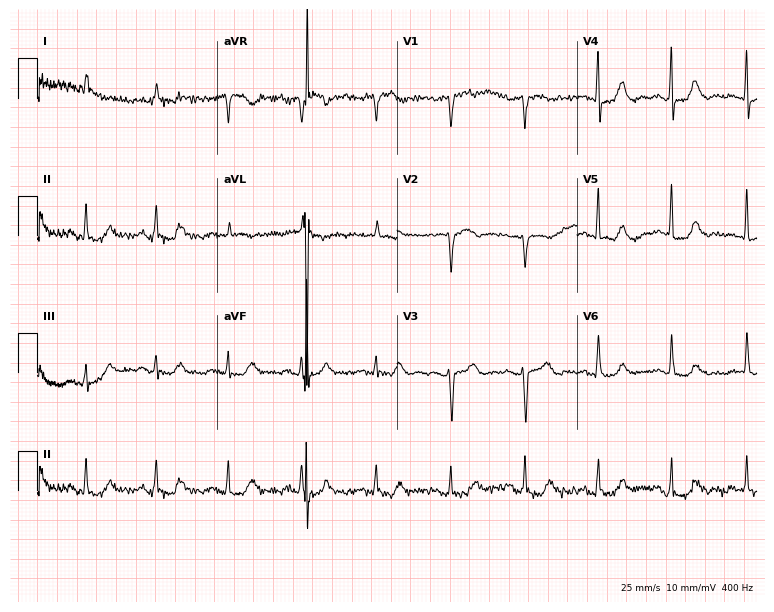
Electrocardiogram, a female patient, 81 years old. Overall reading on record: normal ECG.